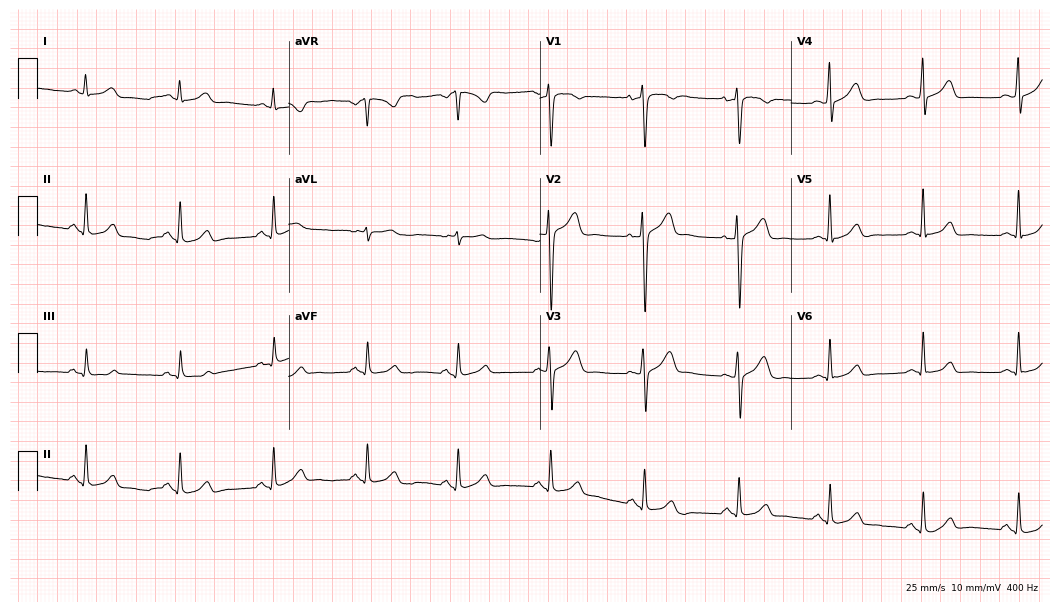
Standard 12-lead ECG recorded from a female patient, 35 years old (10.2-second recording at 400 Hz). None of these six findings is recorded: first-degree AV block, right bundle branch block (RBBB), left bundle branch block (LBBB), sinus bradycardia, atrial fibrillation (AF), sinus tachycardia.